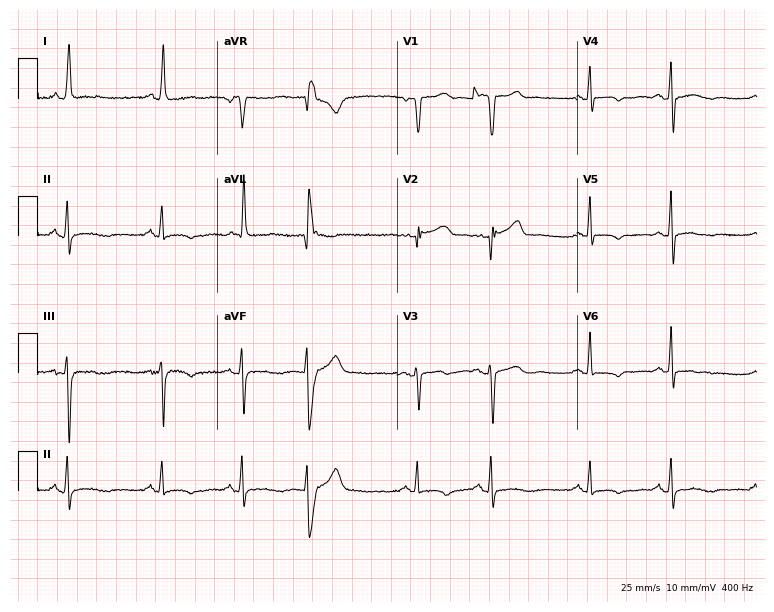
Resting 12-lead electrocardiogram. Patient: a 74-year-old female. None of these six findings is recorded: first-degree AV block, right bundle branch block, left bundle branch block, sinus bradycardia, atrial fibrillation, sinus tachycardia.